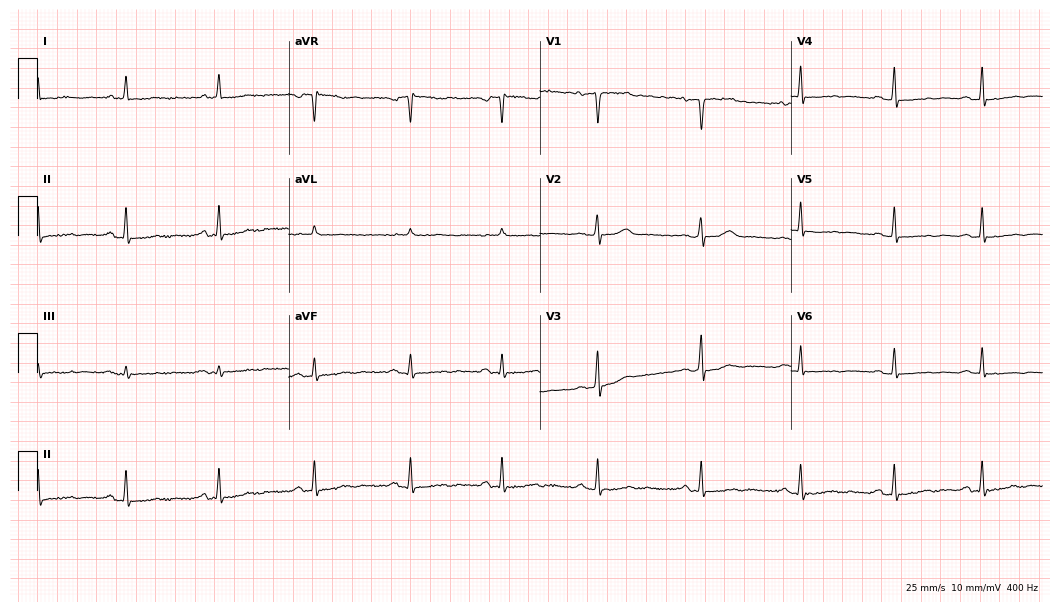
Standard 12-lead ECG recorded from a 47-year-old female (10.2-second recording at 400 Hz). None of these six findings is recorded: first-degree AV block, right bundle branch block, left bundle branch block, sinus bradycardia, atrial fibrillation, sinus tachycardia.